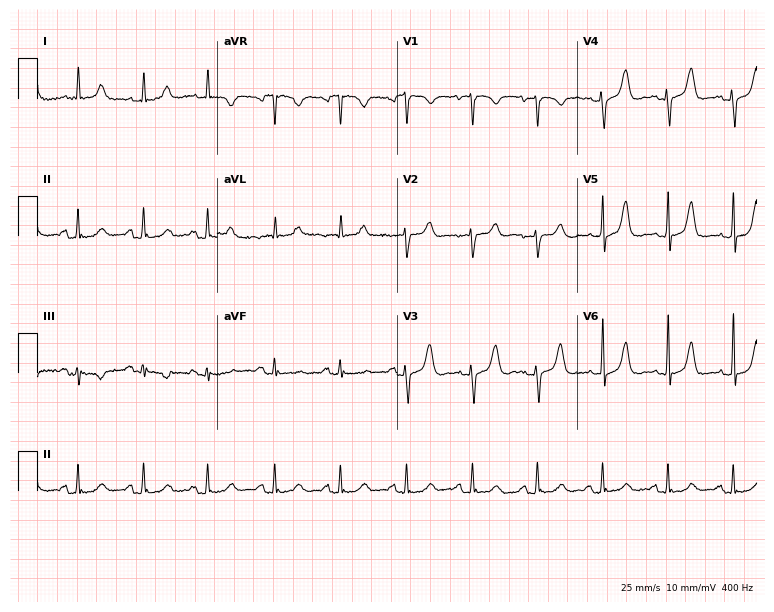
Standard 12-lead ECG recorded from an 83-year-old woman (7.3-second recording at 400 Hz). None of these six findings is recorded: first-degree AV block, right bundle branch block, left bundle branch block, sinus bradycardia, atrial fibrillation, sinus tachycardia.